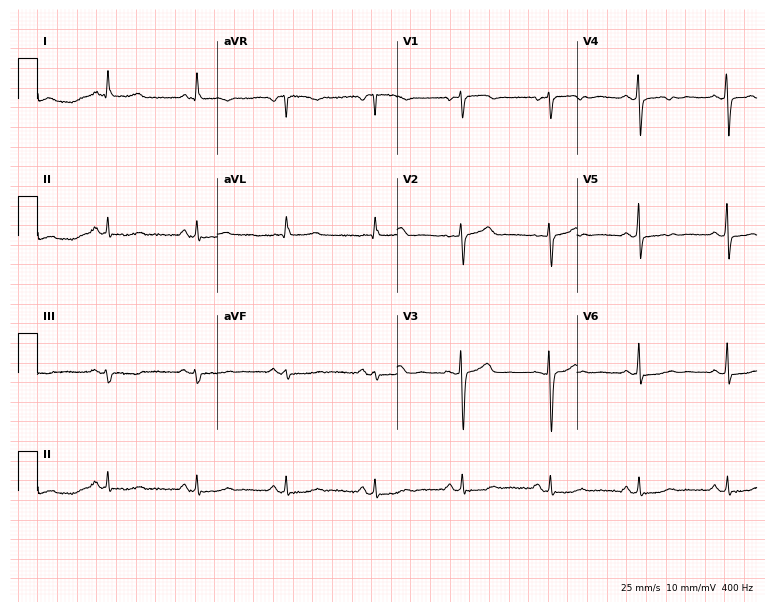
Electrocardiogram (7.3-second recording at 400 Hz), a 45-year-old female patient. Of the six screened findings (first-degree AV block, right bundle branch block, left bundle branch block, sinus bradycardia, atrial fibrillation, sinus tachycardia), none is recorded.